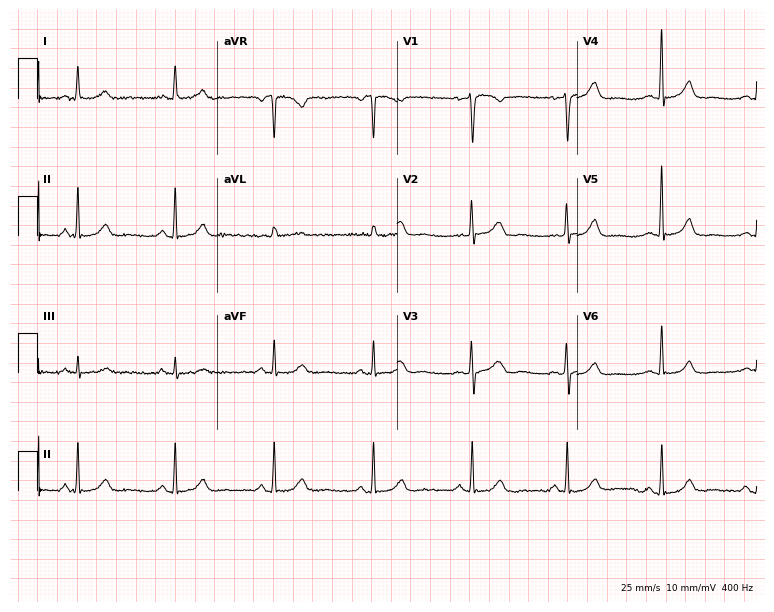
Standard 12-lead ECG recorded from a 56-year-old female patient (7.3-second recording at 400 Hz). None of these six findings is recorded: first-degree AV block, right bundle branch block (RBBB), left bundle branch block (LBBB), sinus bradycardia, atrial fibrillation (AF), sinus tachycardia. Findings outside these six are not listed.